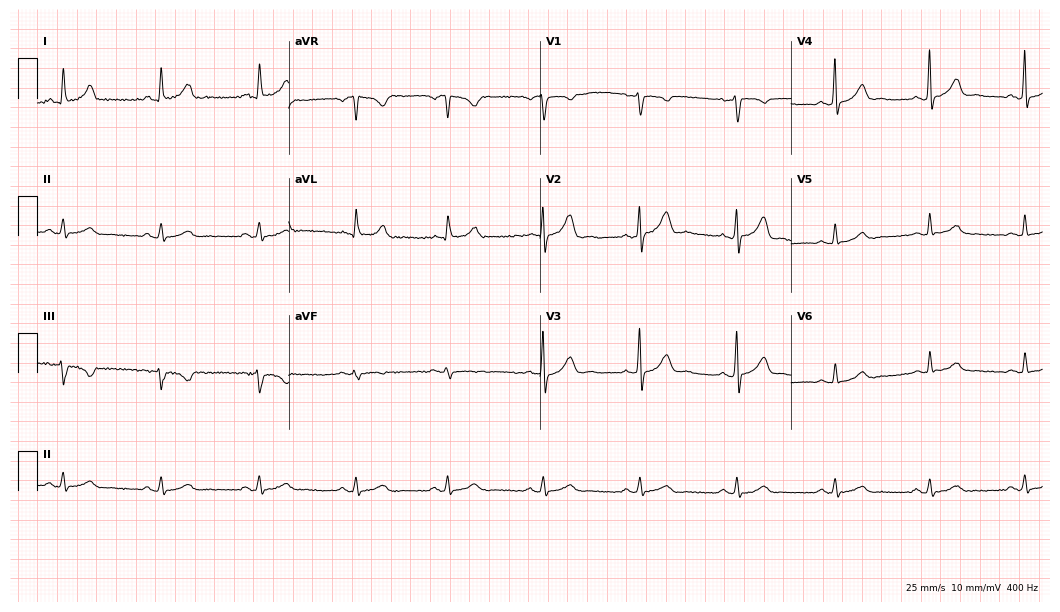
12-lead ECG from a 39-year-old female (10.2-second recording at 400 Hz). Recorded interpretation: within normal limits.